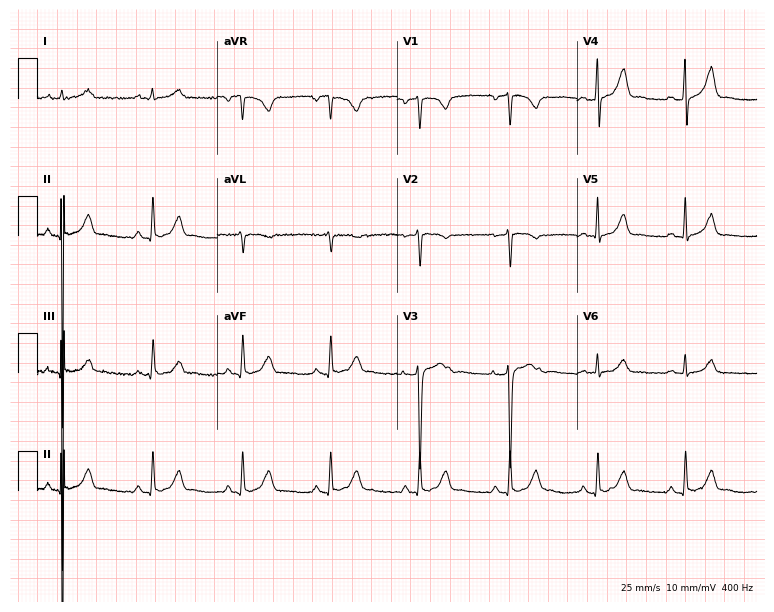
Electrocardiogram (7.3-second recording at 400 Hz), a 48-year-old female patient. Of the six screened findings (first-degree AV block, right bundle branch block (RBBB), left bundle branch block (LBBB), sinus bradycardia, atrial fibrillation (AF), sinus tachycardia), none is recorded.